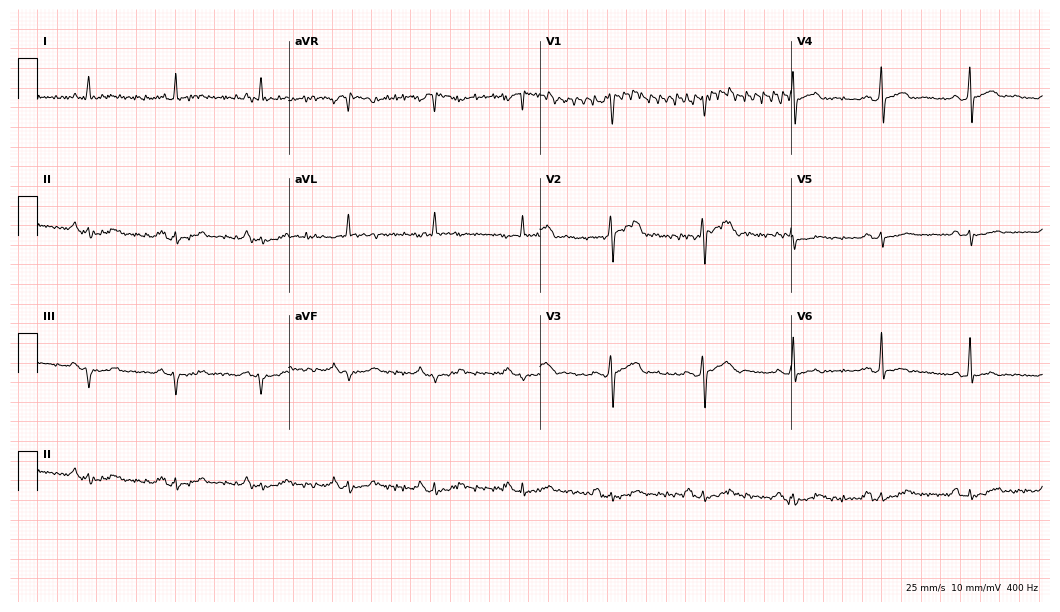
Resting 12-lead electrocardiogram. Patient: a 57-year-old man. None of these six findings is recorded: first-degree AV block, right bundle branch block, left bundle branch block, sinus bradycardia, atrial fibrillation, sinus tachycardia. Only these six findings were labelled.